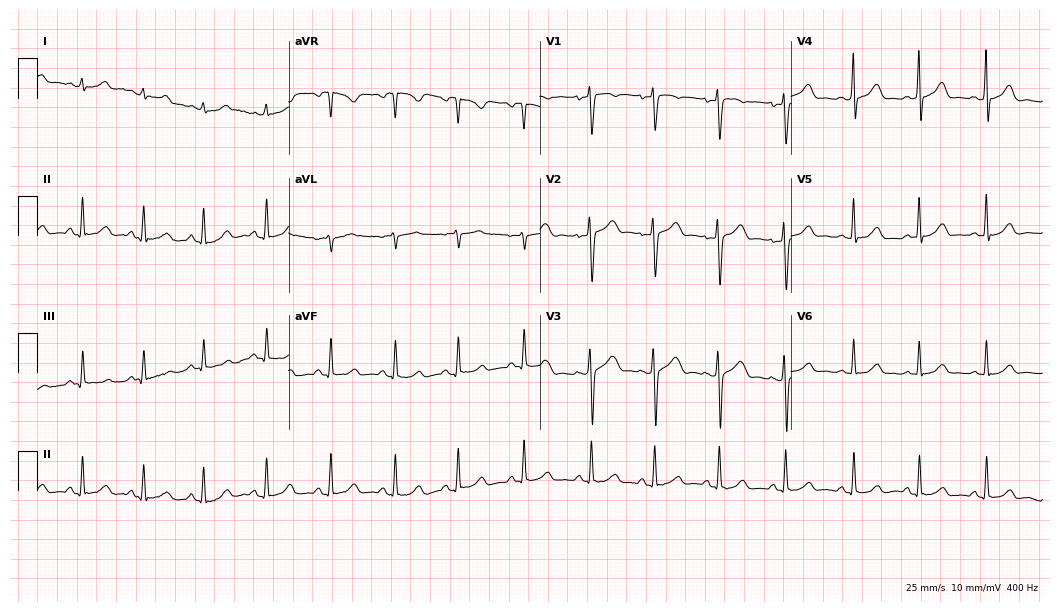
Electrocardiogram, a 35-year-old female. Of the six screened findings (first-degree AV block, right bundle branch block, left bundle branch block, sinus bradycardia, atrial fibrillation, sinus tachycardia), none is recorded.